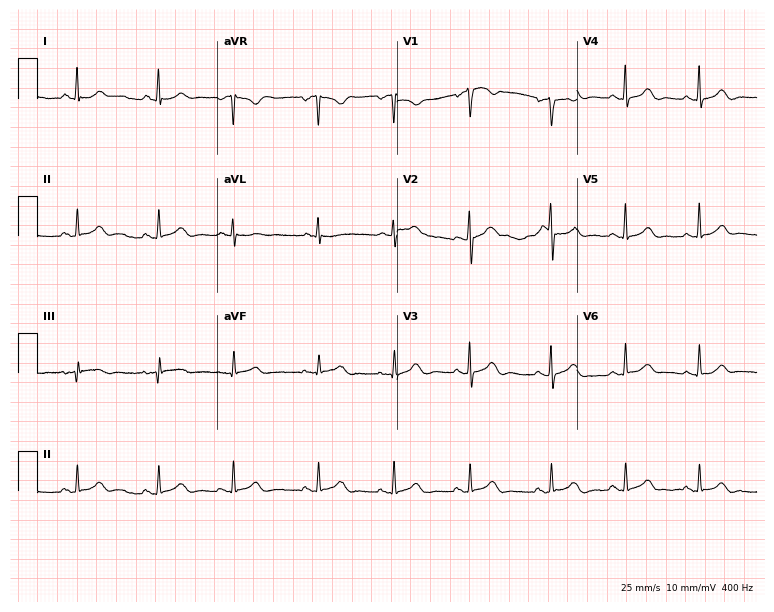
Resting 12-lead electrocardiogram. Patient: a 44-year-old female. Read as a normal ECG.